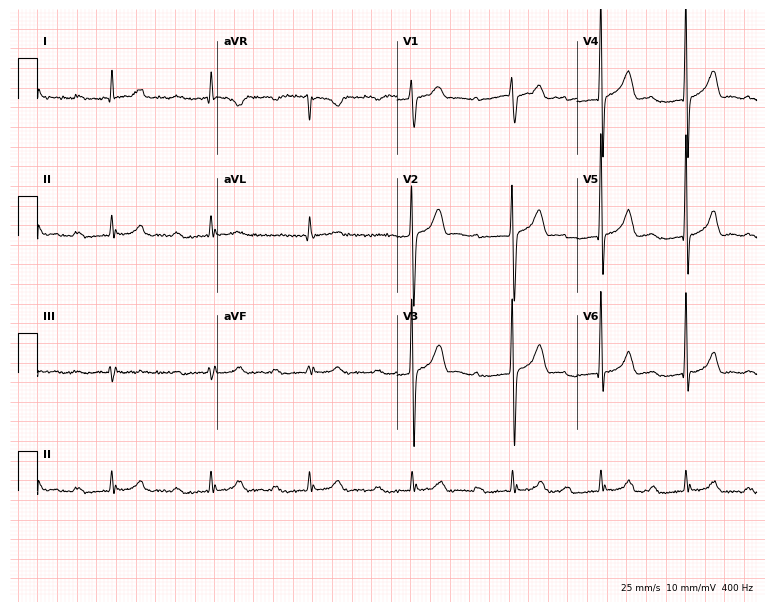
Electrocardiogram (7.3-second recording at 400 Hz), a 39-year-old man. Of the six screened findings (first-degree AV block, right bundle branch block (RBBB), left bundle branch block (LBBB), sinus bradycardia, atrial fibrillation (AF), sinus tachycardia), none is recorded. Findings outside these six are not listed.